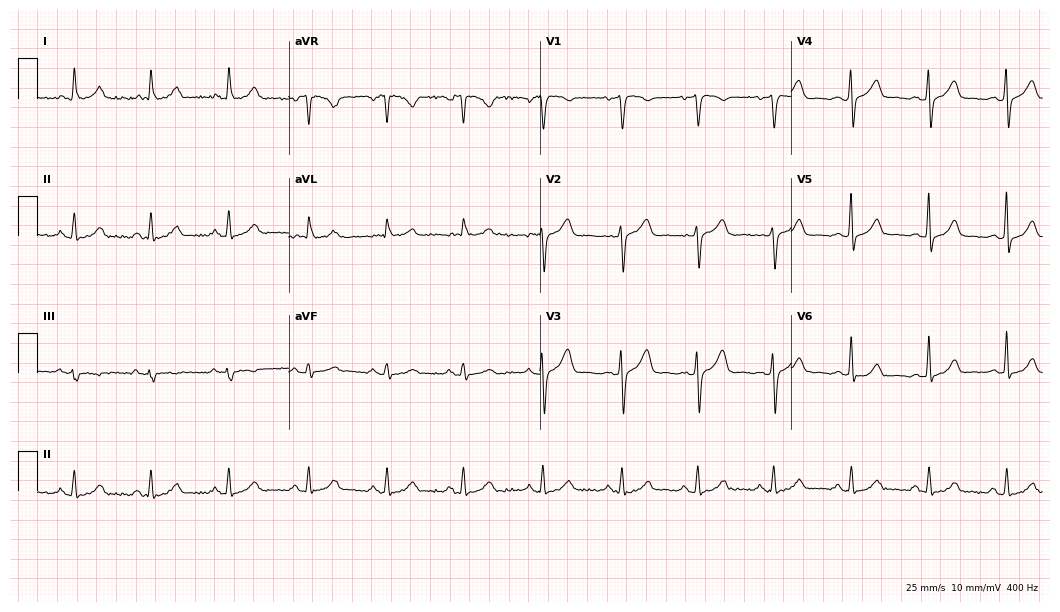
Electrocardiogram (10.2-second recording at 400 Hz), a female patient, 56 years old. Overall reading on record: normal ECG.